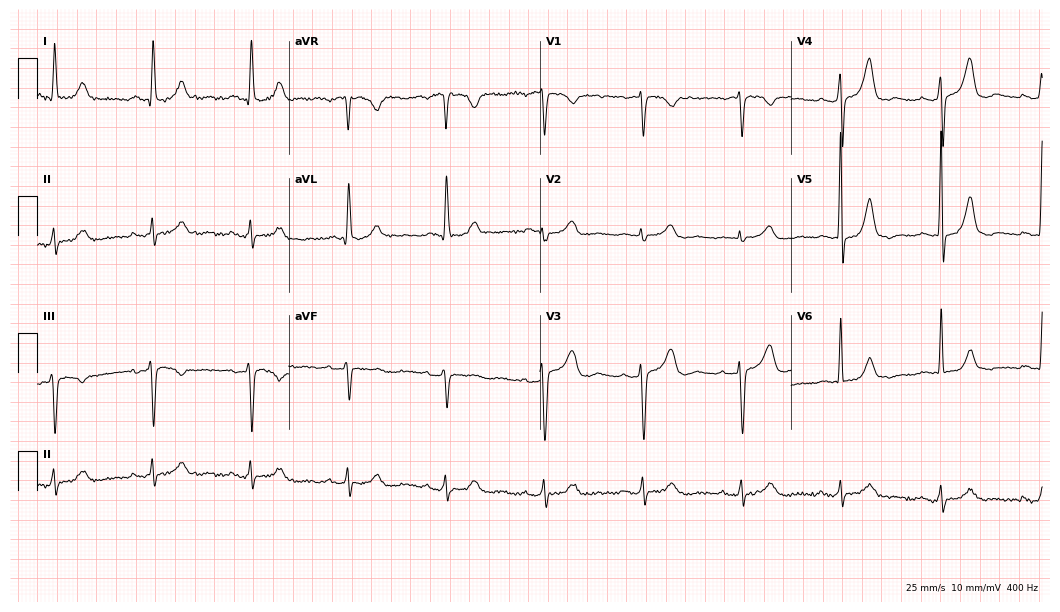
12-lead ECG from a female patient, 80 years old. Labelled as a normal ECG.